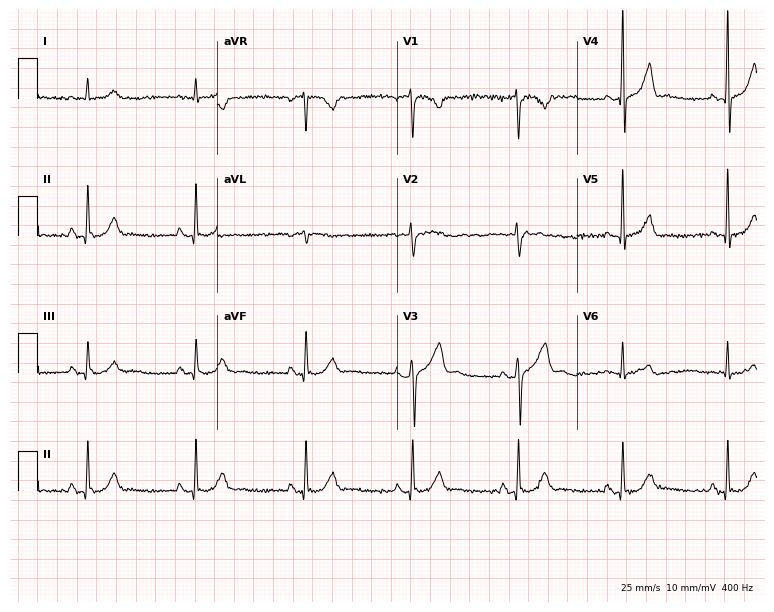
12-lead ECG from a man, 51 years old. Recorded interpretation: within normal limits.